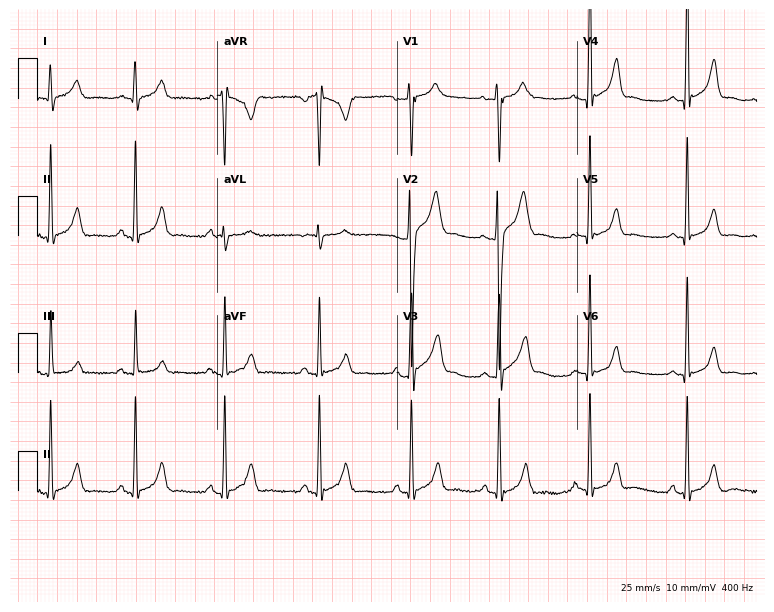
12-lead ECG from a 21-year-old man. Labelled as a normal ECG.